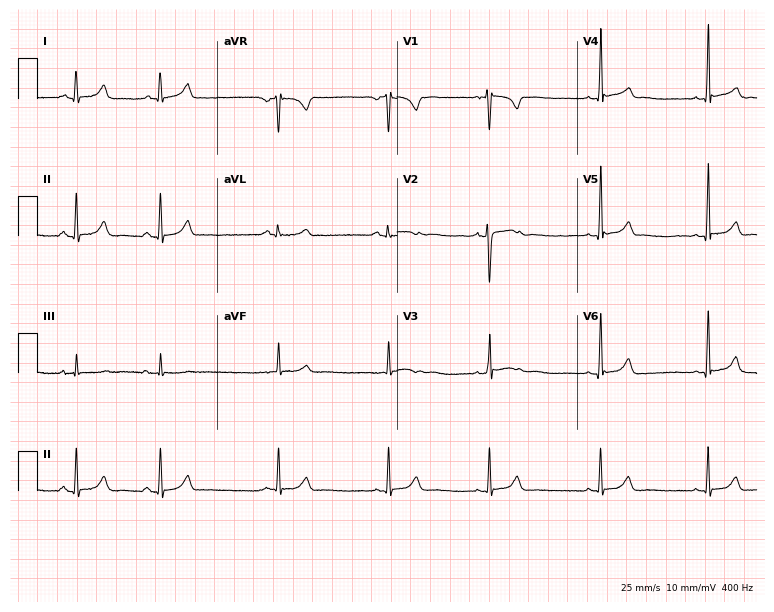
Electrocardiogram (7.3-second recording at 400 Hz), a 20-year-old woman. Overall reading on record: normal ECG.